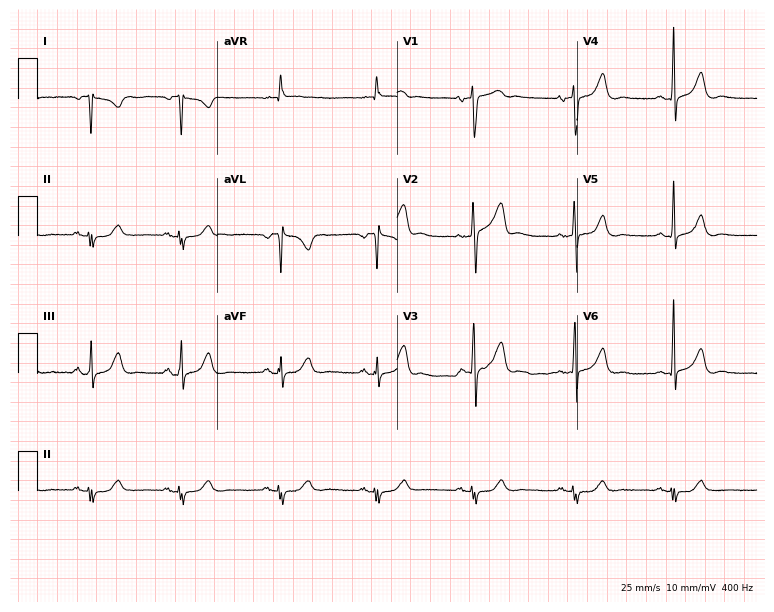
Resting 12-lead electrocardiogram (7.3-second recording at 400 Hz). Patient: a female, 62 years old. None of these six findings is recorded: first-degree AV block, right bundle branch block (RBBB), left bundle branch block (LBBB), sinus bradycardia, atrial fibrillation (AF), sinus tachycardia.